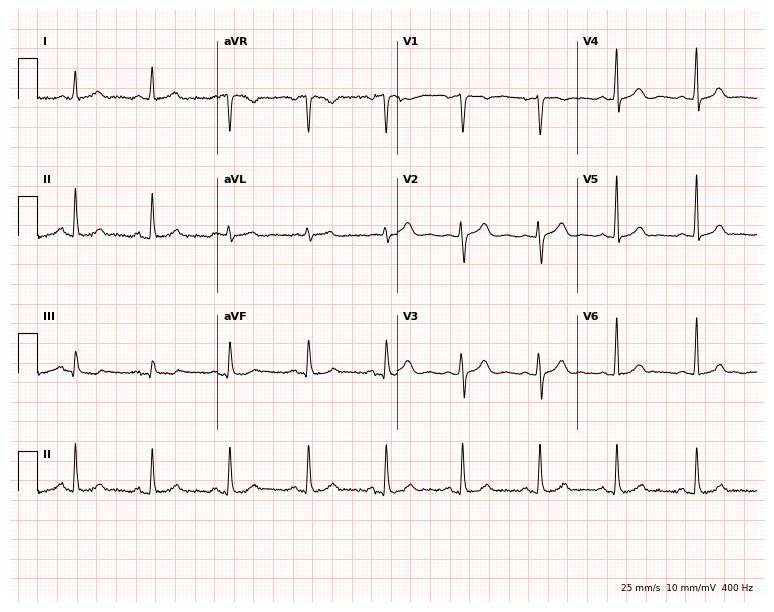
12-lead ECG (7.3-second recording at 400 Hz) from a female patient, 41 years old. Screened for six findings — first-degree AV block, right bundle branch block, left bundle branch block, sinus bradycardia, atrial fibrillation, sinus tachycardia — none is recorded.